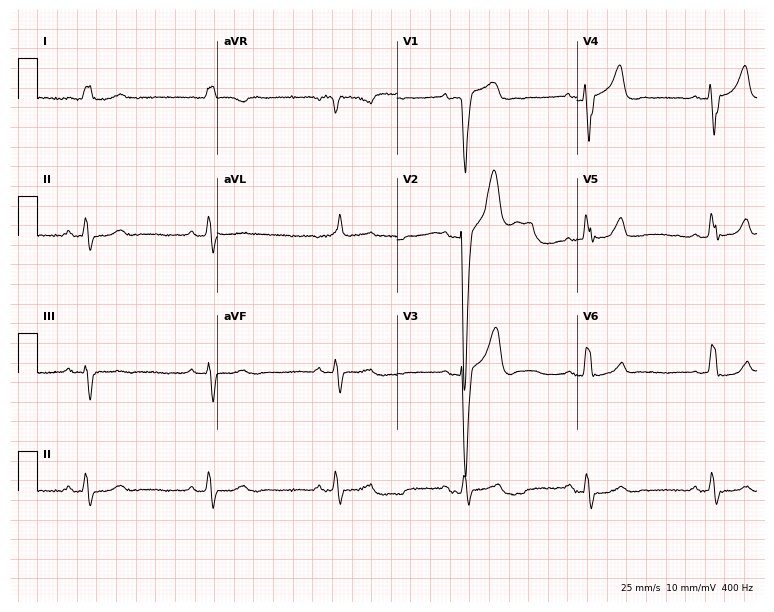
Resting 12-lead electrocardiogram. Patient: a male, 73 years old. The tracing shows left bundle branch block, sinus bradycardia (a sinus rate of 50 beats per minute or less).